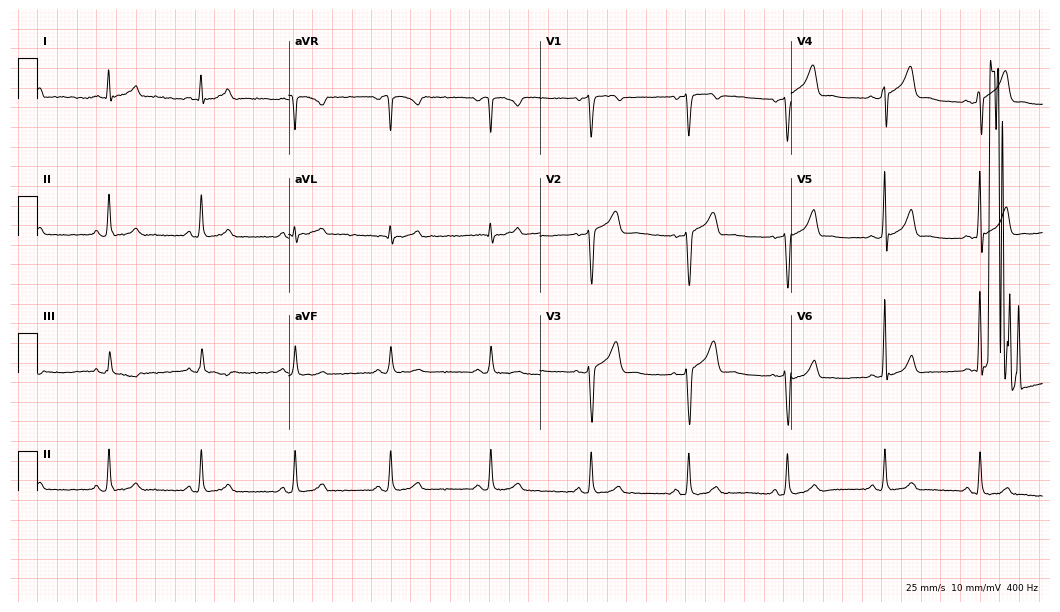
Resting 12-lead electrocardiogram. Patient: a 46-year-old male. Read as a normal ECG.